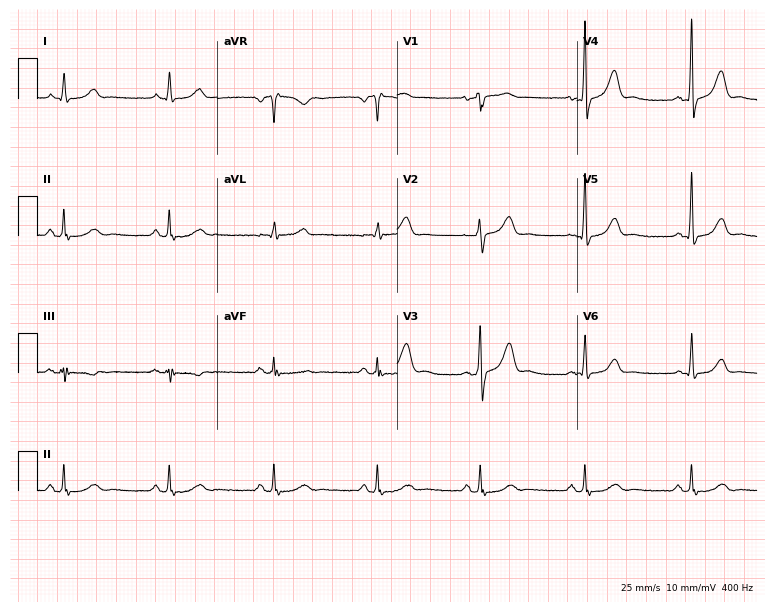
Resting 12-lead electrocardiogram (7.3-second recording at 400 Hz). Patient: a 60-year-old male. Read as a normal ECG.